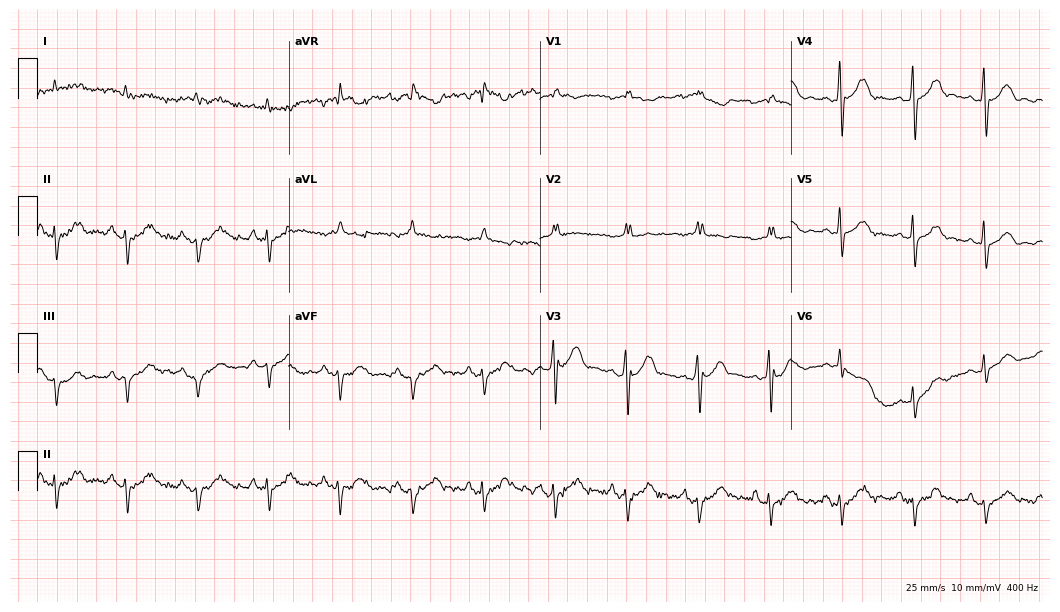
Resting 12-lead electrocardiogram (10.2-second recording at 400 Hz). Patient: a man, 77 years old. None of these six findings is recorded: first-degree AV block, right bundle branch block, left bundle branch block, sinus bradycardia, atrial fibrillation, sinus tachycardia. Only these six findings were labelled.